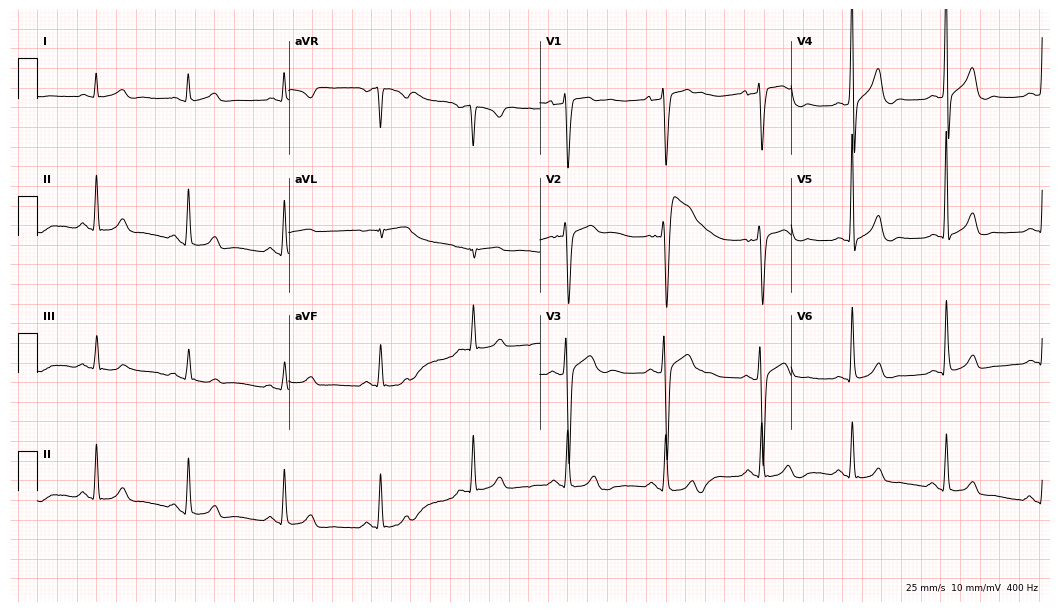
ECG — a male, 44 years old. Labelled as a normal ECG.